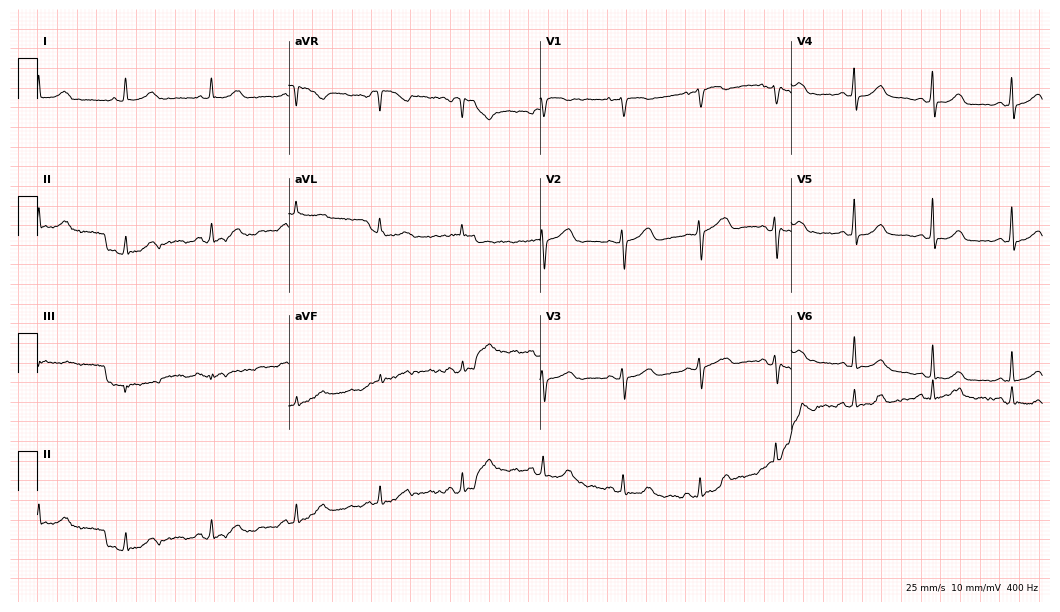
Resting 12-lead electrocardiogram. Patient: a woman, 77 years old. Read as a normal ECG.